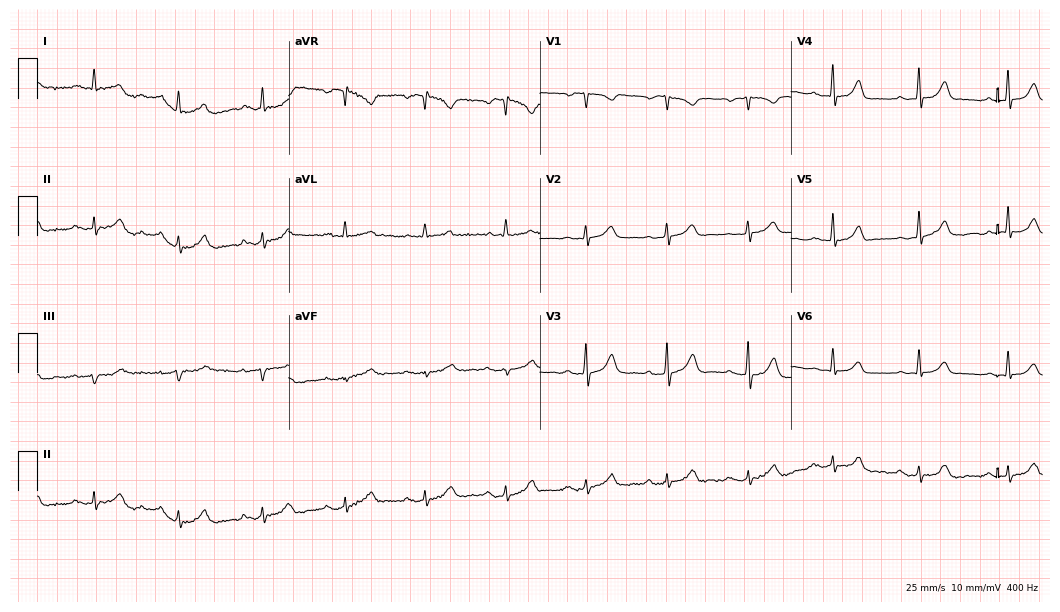
12-lead ECG (10.2-second recording at 400 Hz) from a 46-year-old woman. Screened for six findings — first-degree AV block, right bundle branch block, left bundle branch block, sinus bradycardia, atrial fibrillation, sinus tachycardia — none is recorded. Only these six findings were labelled.